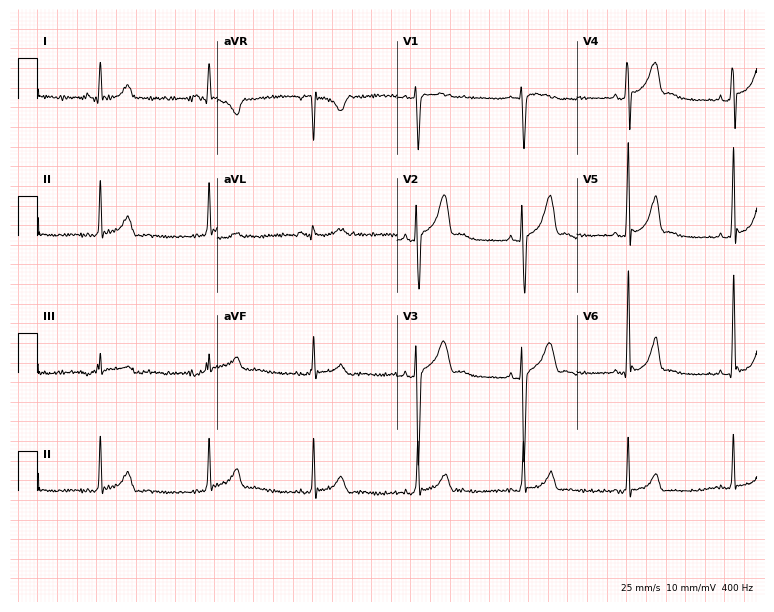
ECG — a man, 19 years old. Screened for six findings — first-degree AV block, right bundle branch block, left bundle branch block, sinus bradycardia, atrial fibrillation, sinus tachycardia — none is recorded. Only these six findings were labelled.